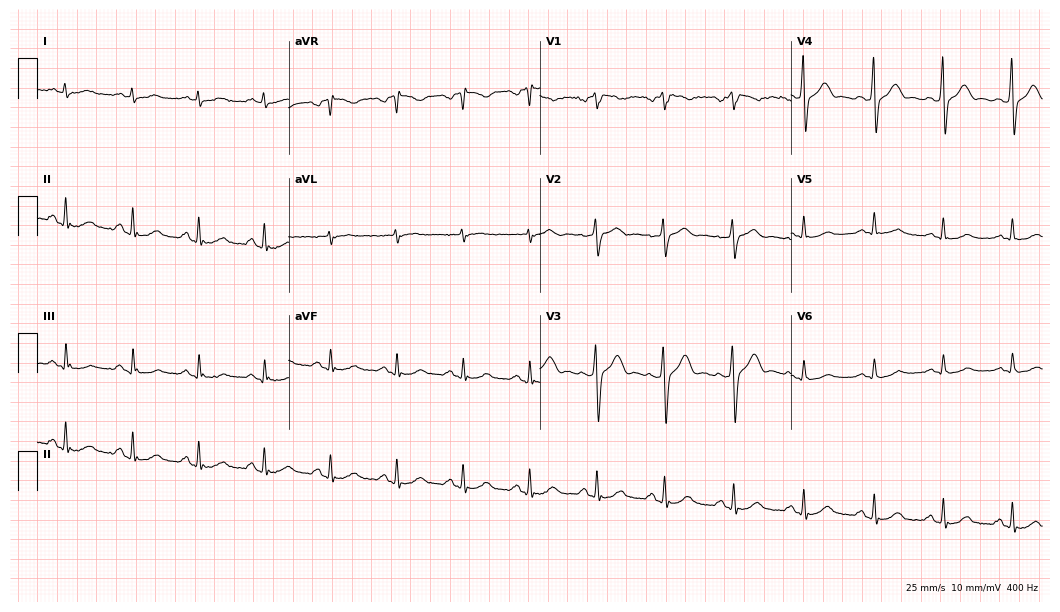
Electrocardiogram, a 59-year-old male patient. Overall reading on record: normal ECG.